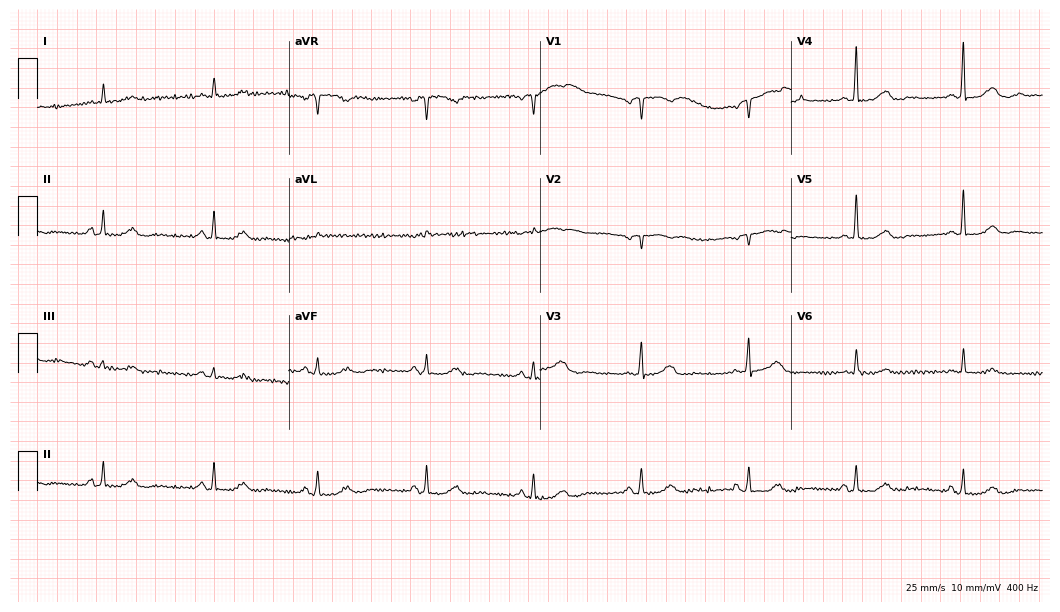
Standard 12-lead ECG recorded from a female, 80 years old. None of these six findings is recorded: first-degree AV block, right bundle branch block, left bundle branch block, sinus bradycardia, atrial fibrillation, sinus tachycardia.